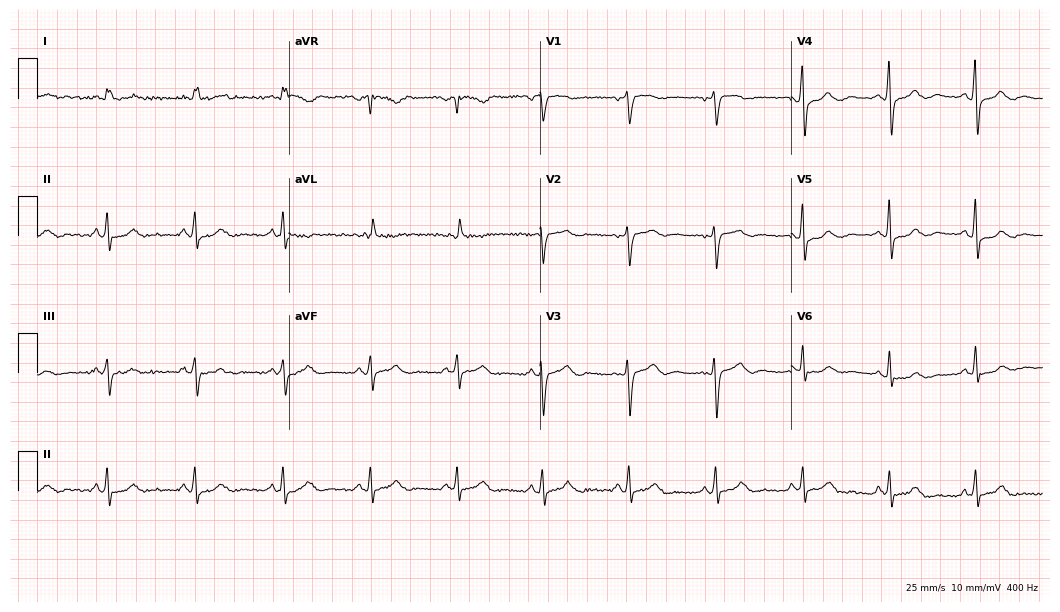
Standard 12-lead ECG recorded from a female, 60 years old. Read as a normal ECG.